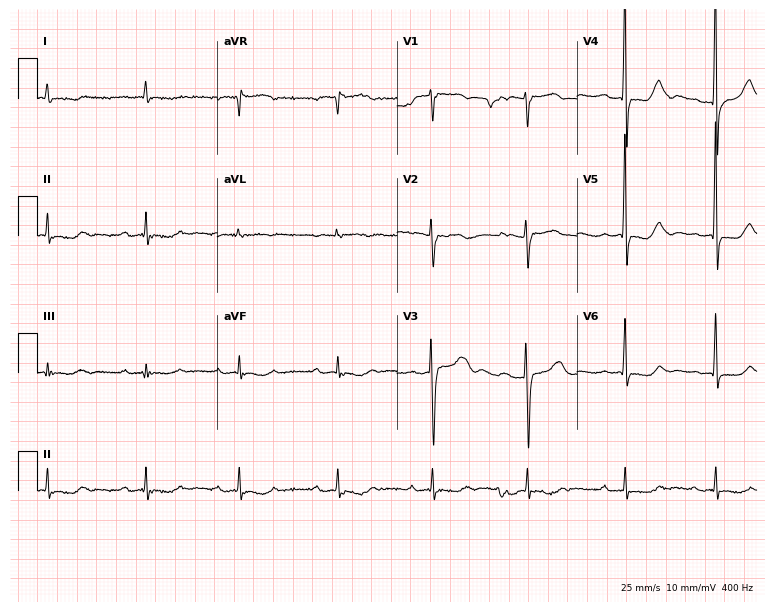
12-lead ECG from an 84-year-old man (7.3-second recording at 400 Hz). Recorded interpretation: within normal limits.